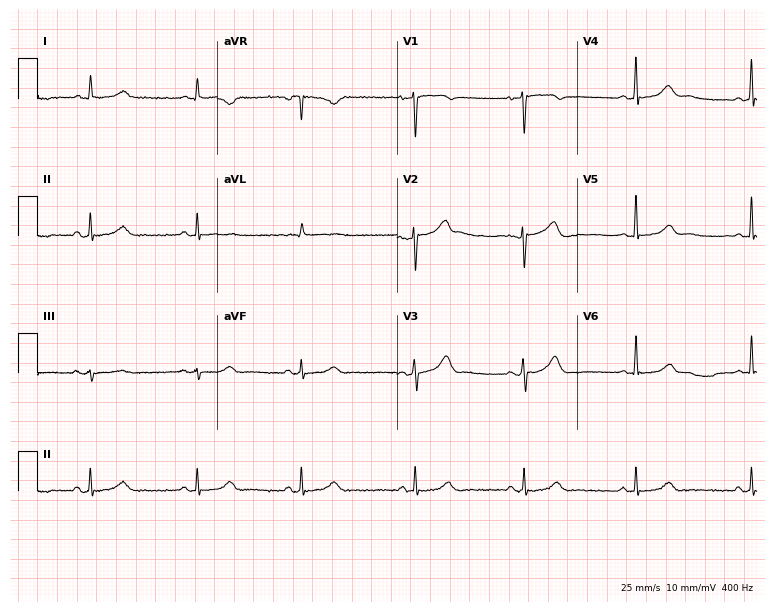
12-lead ECG from a 38-year-old woman (7.3-second recording at 400 Hz). No first-degree AV block, right bundle branch block, left bundle branch block, sinus bradycardia, atrial fibrillation or sinus tachycardia recorded for this tracing. Findings outside these six are not listed.